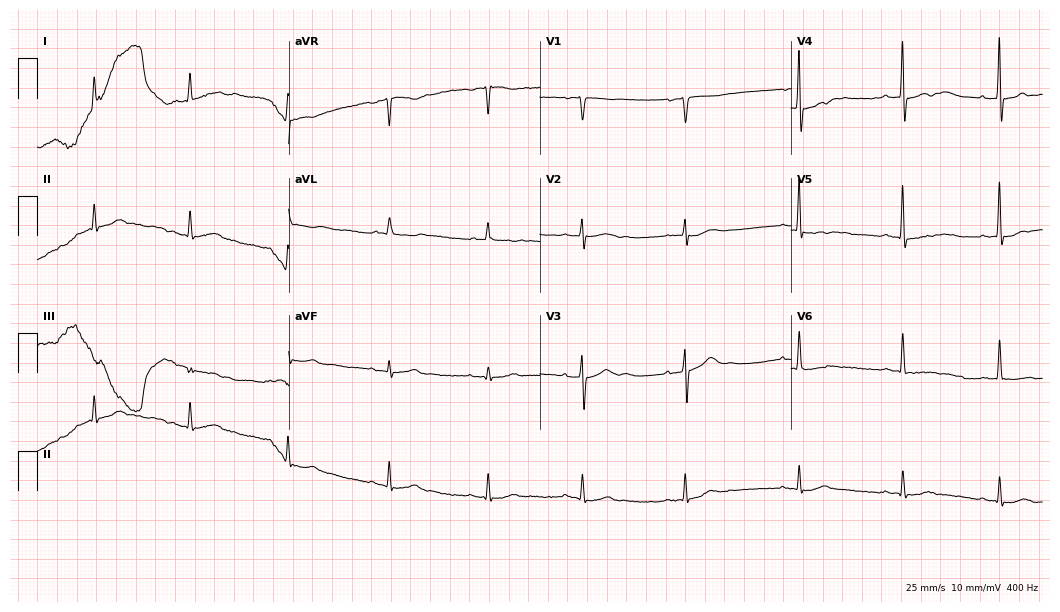
Electrocardiogram, a 70-year-old male. Of the six screened findings (first-degree AV block, right bundle branch block, left bundle branch block, sinus bradycardia, atrial fibrillation, sinus tachycardia), none is recorded. Other findings, if any, are not listed.